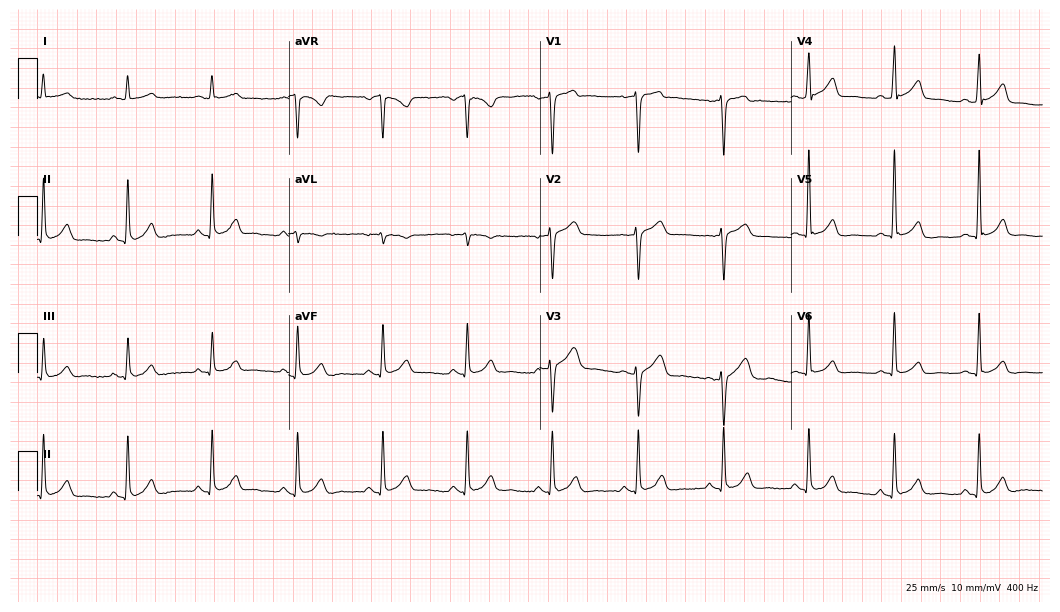
ECG — a male patient, 51 years old. Labelled as a normal ECG.